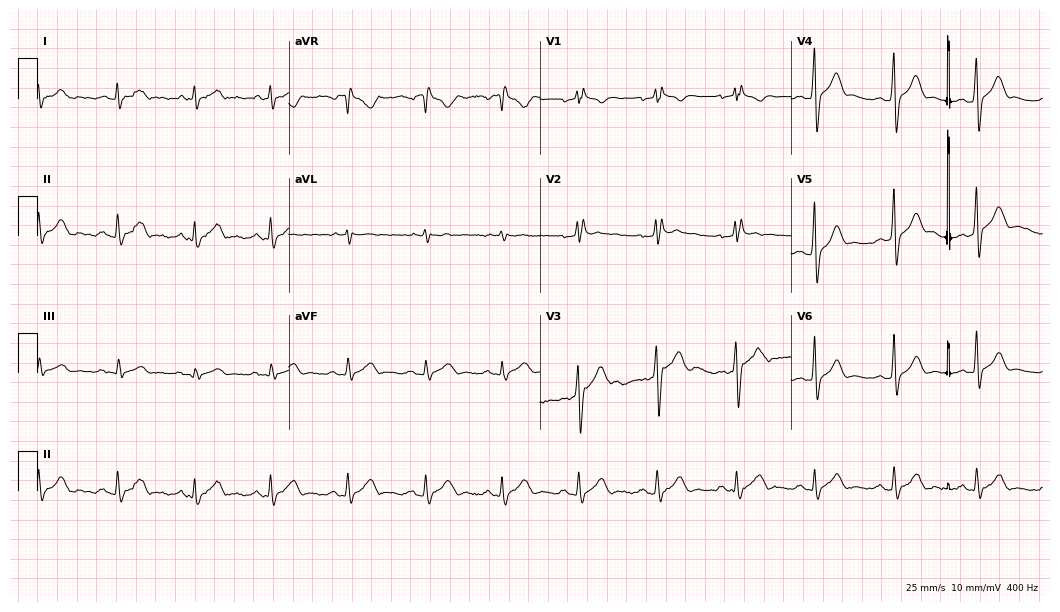
Electrocardiogram, a male patient, 24 years old. Of the six screened findings (first-degree AV block, right bundle branch block, left bundle branch block, sinus bradycardia, atrial fibrillation, sinus tachycardia), none is recorded. Only these six findings were labelled.